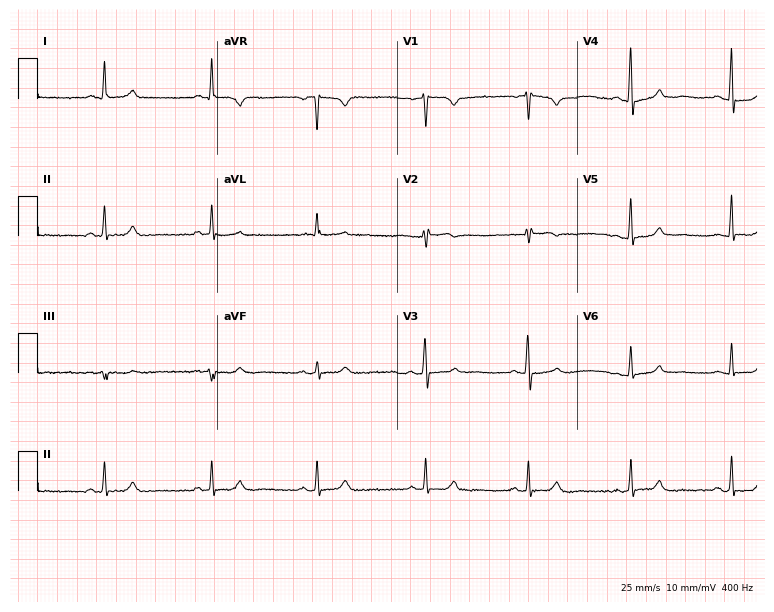
Standard 12-lead ECG recorded from a female, 46 years old (7.3-second recording at 400 Hz). Read as a normal ECG.